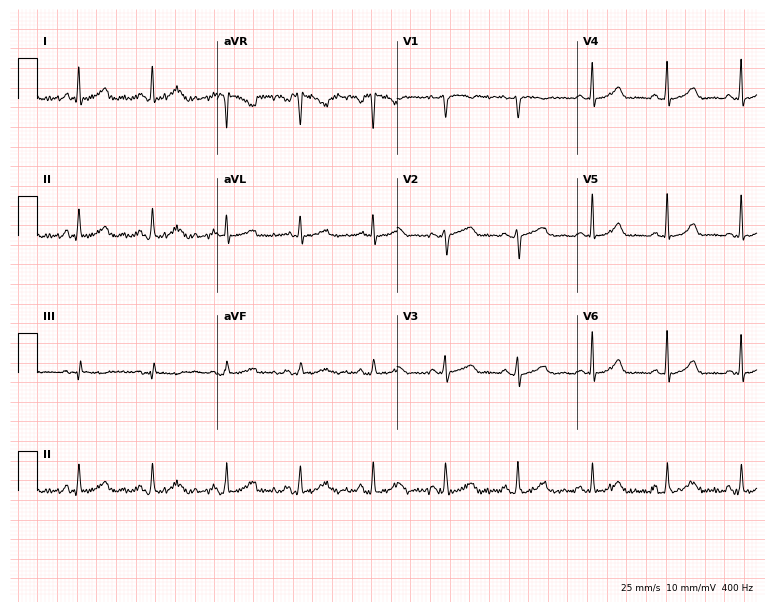
Resting 12-lead electrocardiogram. Patient: a female, 48 years old. Read as a normal ECG.